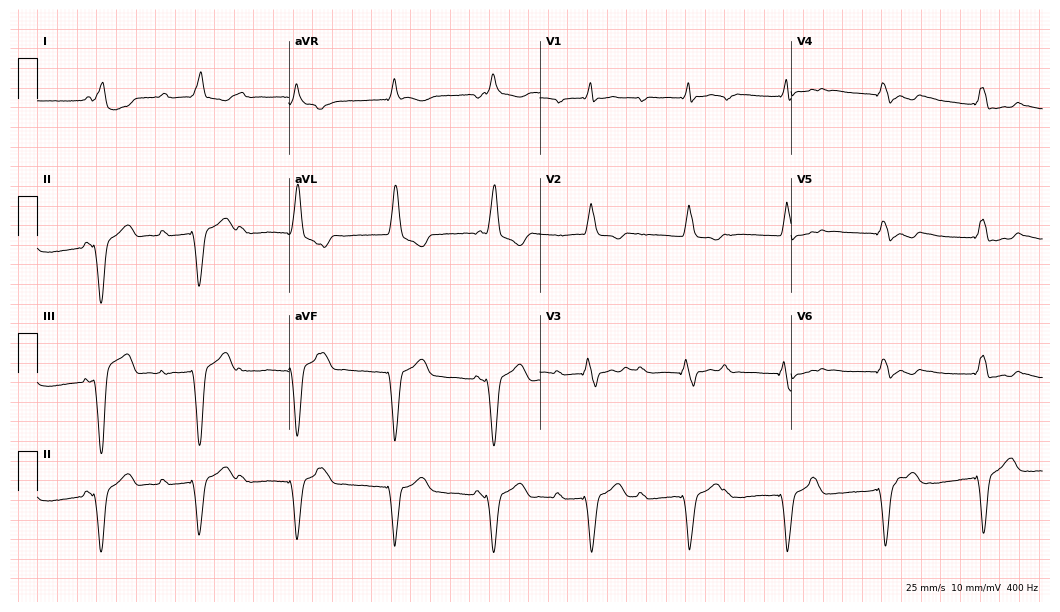
12-lead ECG from a man, 83 years old (10.2-second recording at 400 Hz). No first-degree AV block, right bundle branch block, left bundle branch block, sinus bradycardia, atrial fibrillation or sinus tachycardia recorded for this tracing.